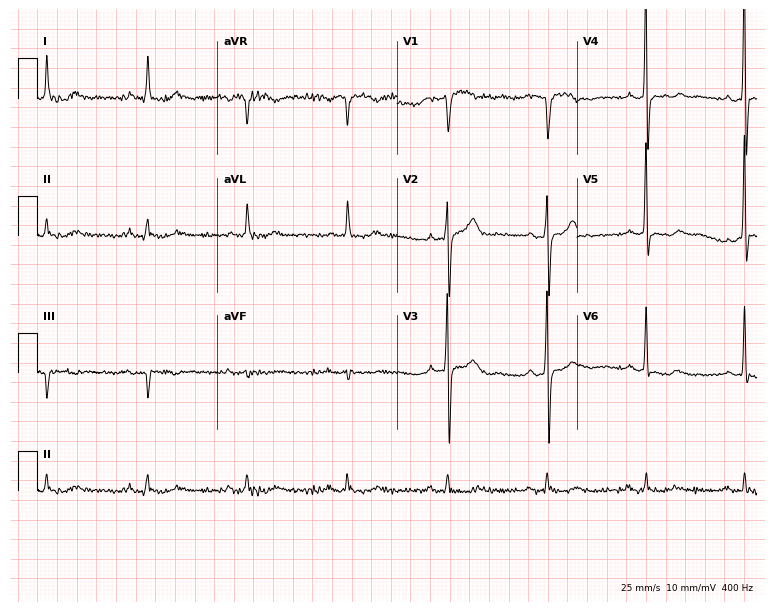
Resting 12-lead electrocardiogram. Patient: a 68-year-old man. None of these six findings is recorded: first-degree AV block, right bundle branch block, left bundle branch block, sinus bradycardia, atrial fibrillation, sinus tachycardia. Only these six findings were labelled.